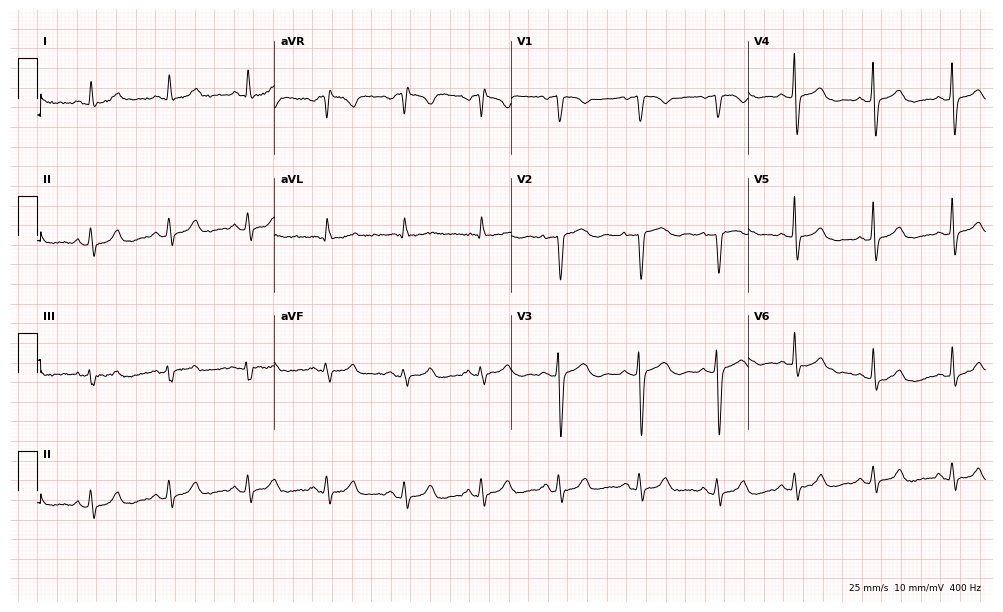
Standard 12-lead ECG recorded from a 78-year-old female patient. Read as a normal ECG.